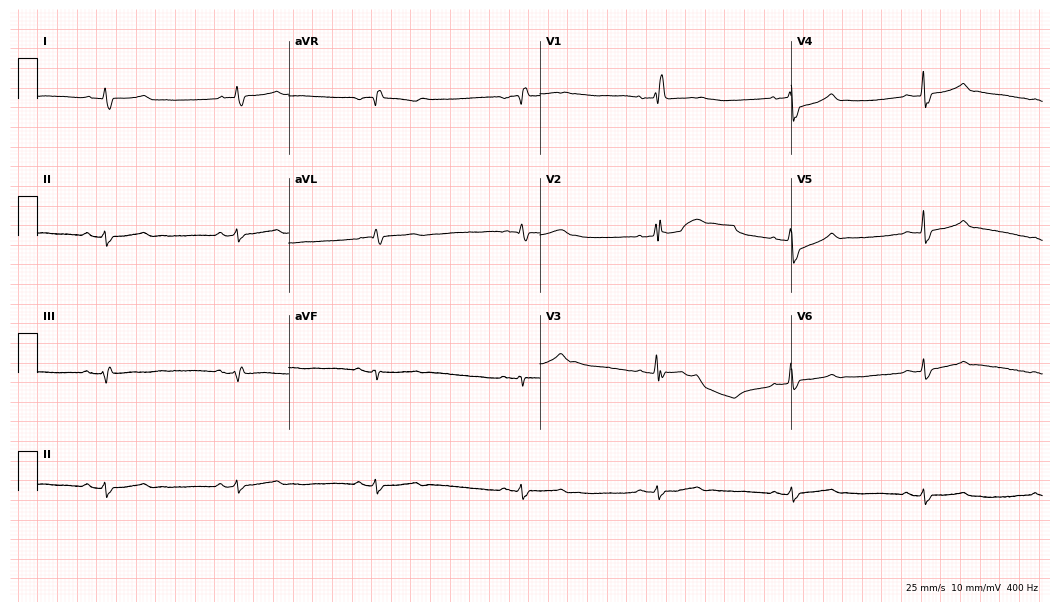
ECG — a male patient, 67 years old. Screened for six findings — first-degree AV block, right bundle branch block (RBBB), left bundle branch block (LBBB), sinus bradycardia, atrial fibrillation (AF), sinus tachycardia — none is recorded. Only these six findings were labelled.